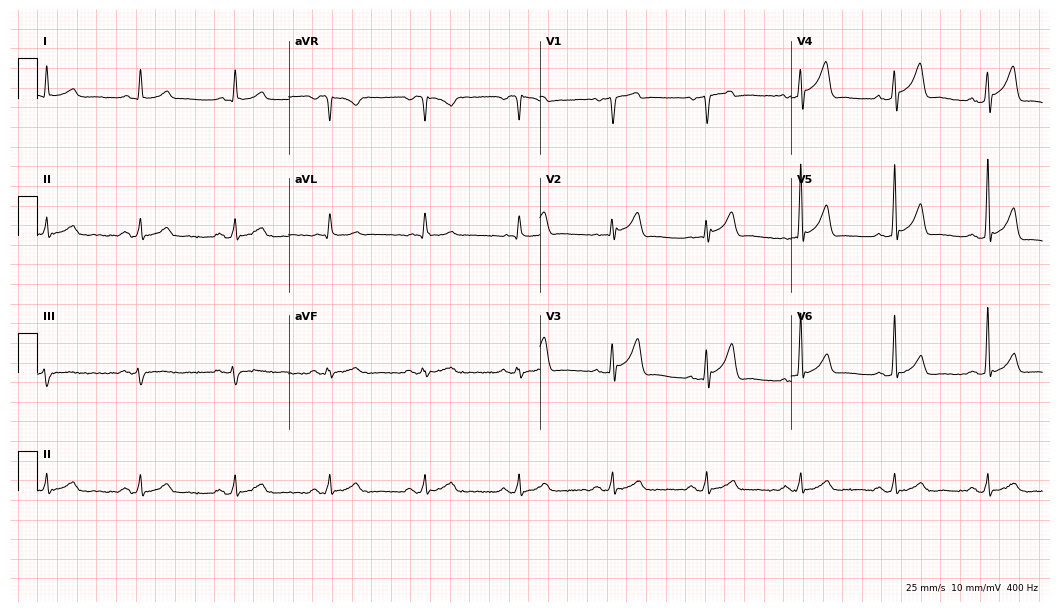
12-lead ECG from a man, 72 years old (10.2-second recording at 400 Hz). No first-degree AV block, right bundle branch block (RBBB), left bundle branch block (LBBB), sinus bradycardia, atrial fibrillation (AF) or sinus tachycardia recorded for this tracing. Findings outside these six are not listed.